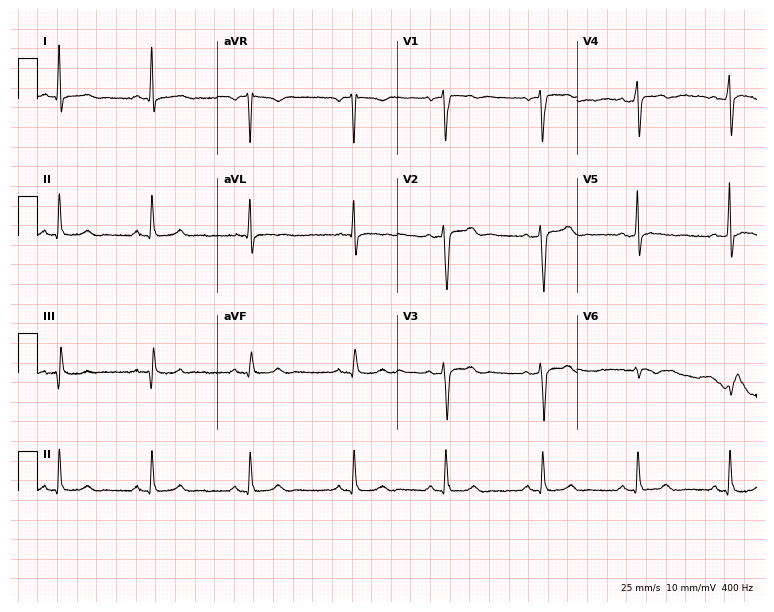
ECG (7.3-second recording at 400 Hz) — a 33-year-old male patient. Screened for six findings — first-degree AV block, right bundle branch block (RBBB), left bundle branch block (LBBB), sinus bradycardia, atrial fibrillation (AF), sinus tachycardia — none is recorded.